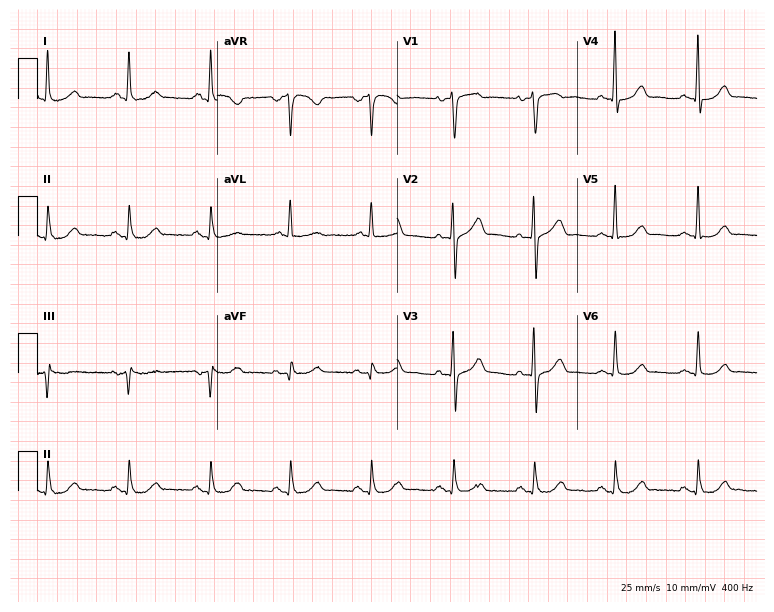
Standard 12-lead ECG recorded from a female patient, 59 years old. Read as a normal ECG.